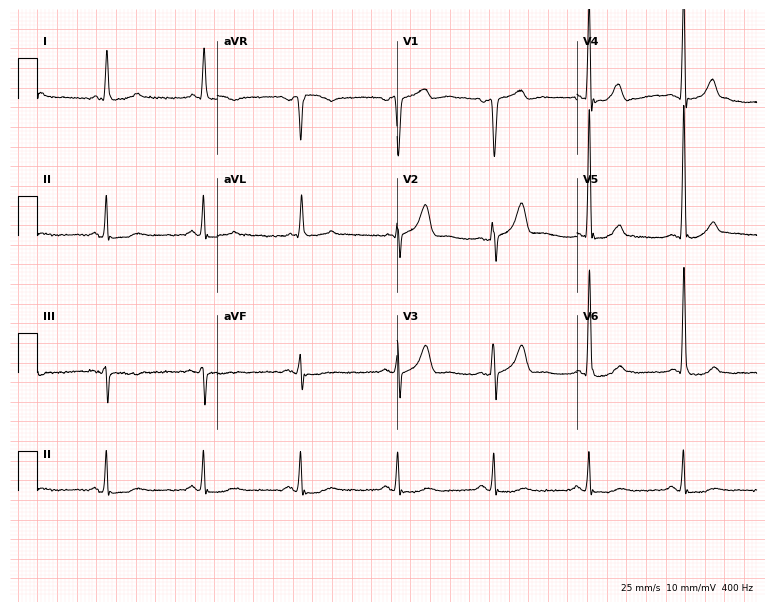
ECG (7.3-second recording at 400 Hz) — a man, 78 years old. Screened for six findings — first-degree AV block, right bundle branch block (RBBB), left bundle branch block (LBBB), sinus bradycardia, atrial fibrillation (AF), sinus tachycardia — none is recorded.